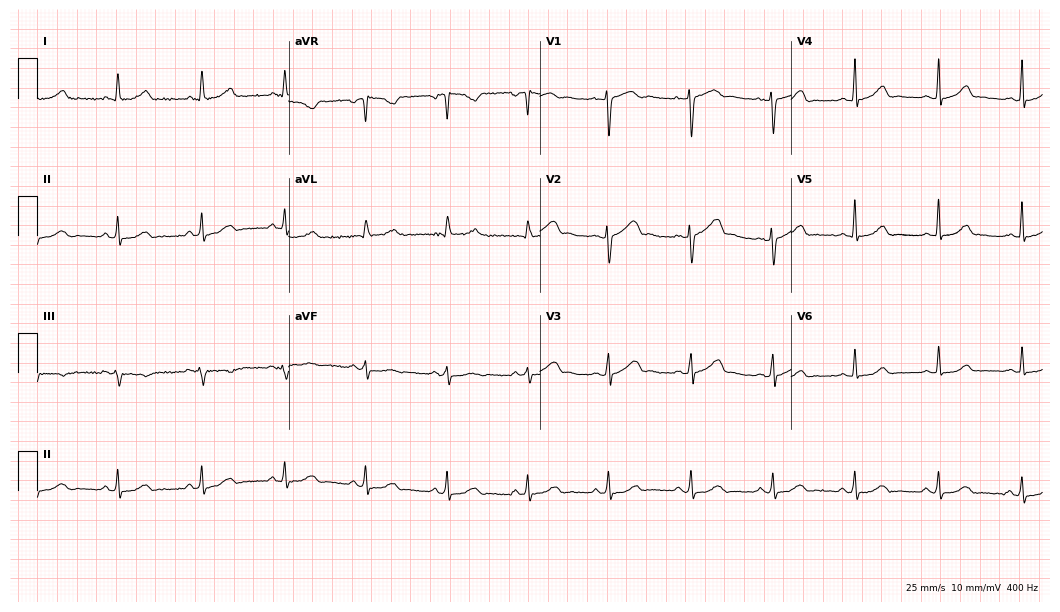
ECG (10.2-second recording at 400 Hz) — a 33-year-old female patient. Labelled as a normal ECG.